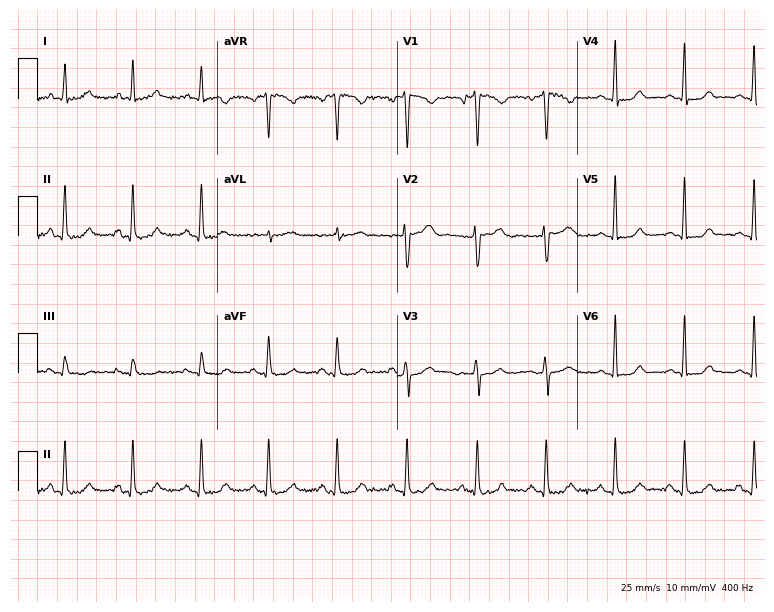
Electrocardiogram (7.3-second recording at 400 Hz), a woman, 38 years old. Overall reading on record: normal ECG.